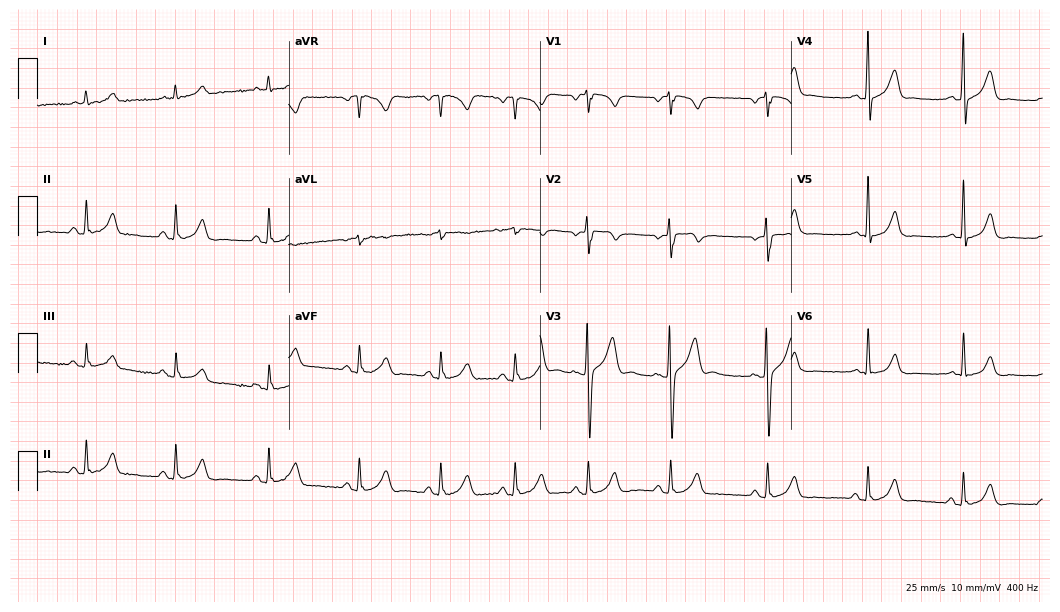
12-lead ECG from a male patient, 23 years old (10.2-second recording at 400 Hz). Recorded interpretation: within normal limits.